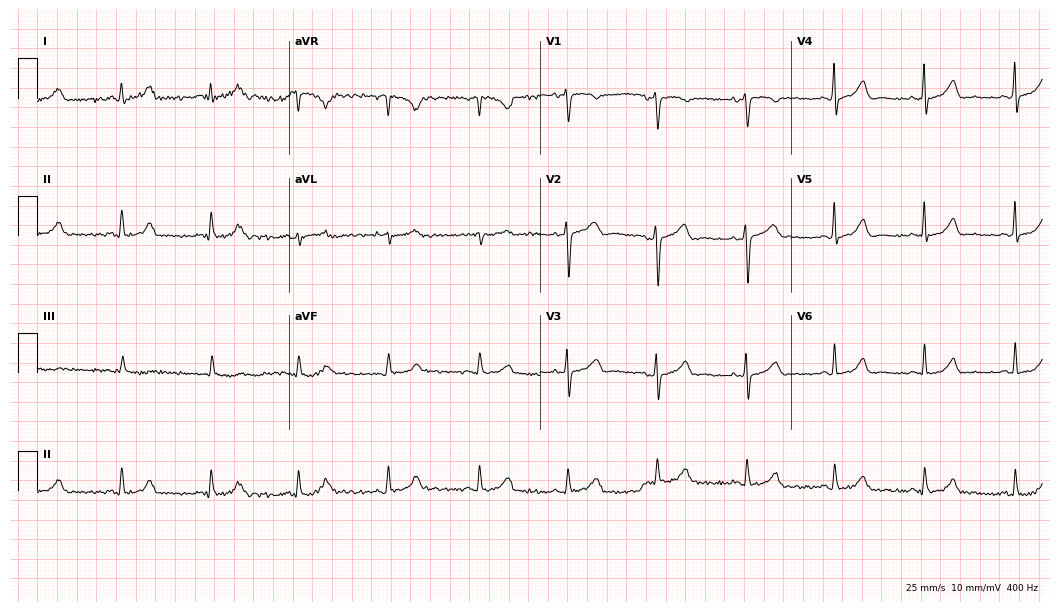
12-lead ECG from a female patient, 39 years old. Labelled as a normal ECG.